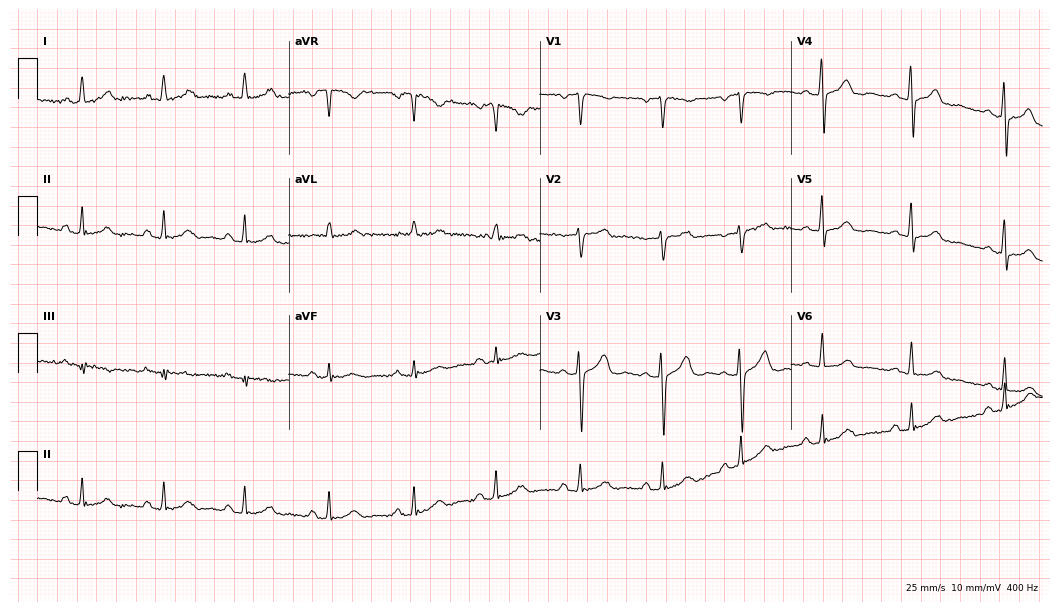
Standard 12-lead ECG recorded from a 41-year-old woman. Read as a normal ECG.